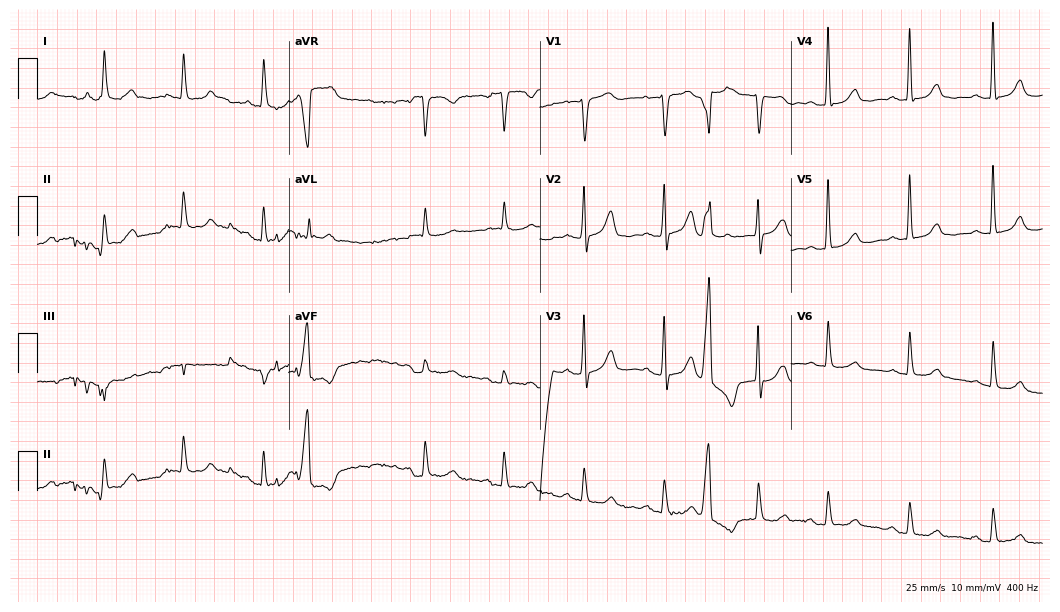
12-lead ECG from a woman, 85 years old. Screened for six findings — first-degree AV block, right bundle branch block (RBBB), left bundle branch block (LBBB), sinus bradycardia, atrial fibrillation (AF), sinus tachycardia — none is recorded.